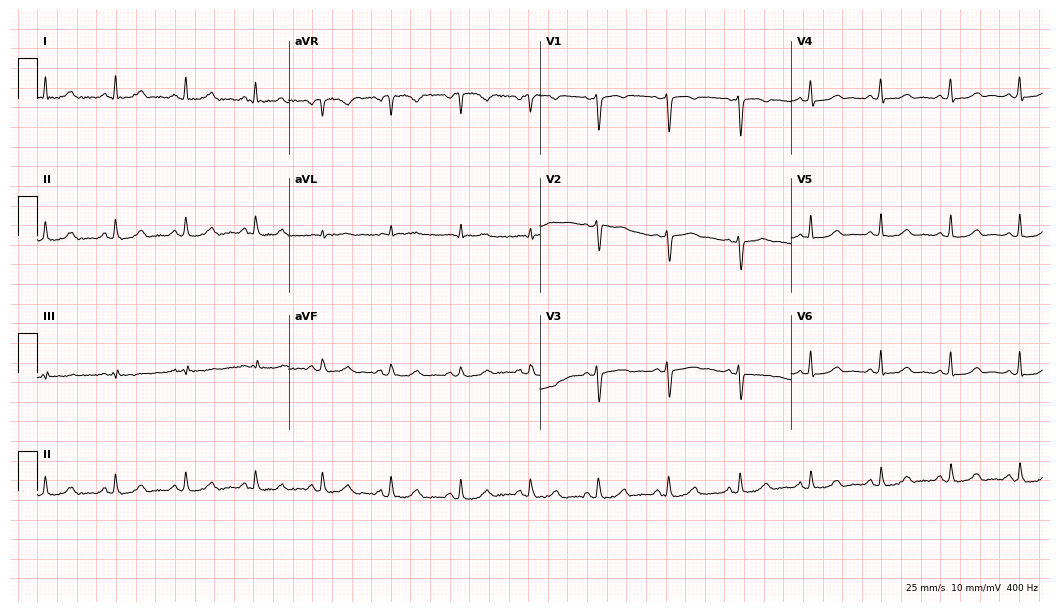
ECG (10.2-second recording at 400 Hz) — a female, 42 years old. Labelled as a normal ECG.